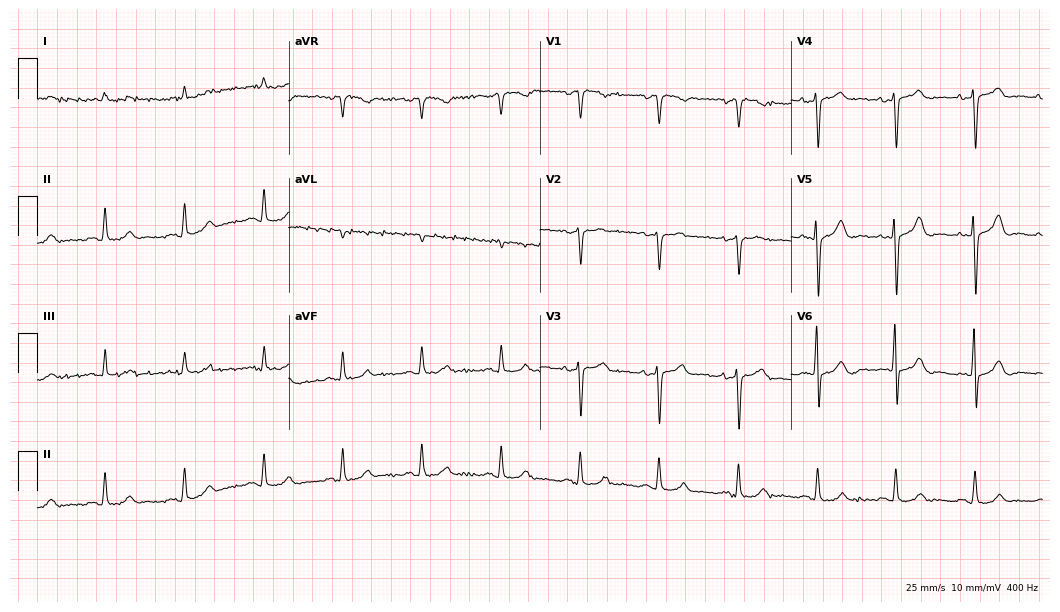
Resting 12-lead electrocardiogram (10.2-second recording at 400 Hz). Patient: a male, 83 years old. Read as a normal ECG.